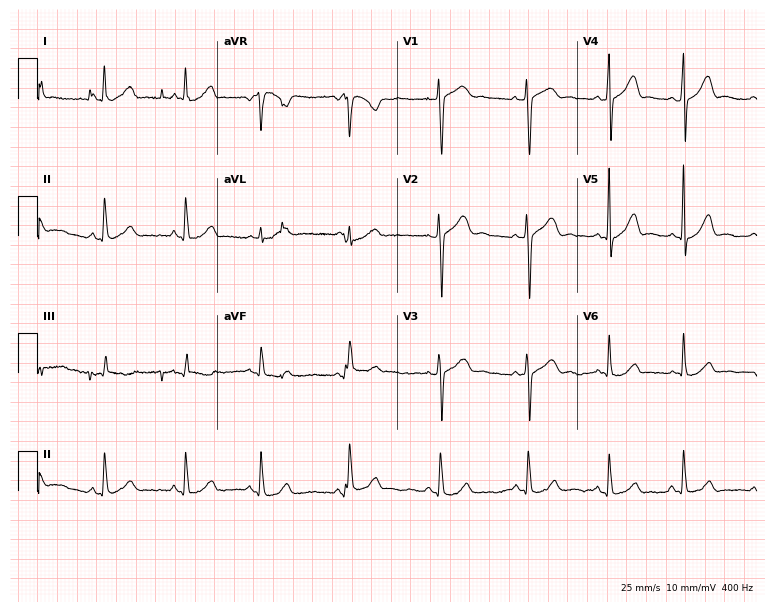
12-lead ECG from a woman, 21 years old. No first-degree AV block, right bundle branch block, left bundle branch block, sinus bradycardia, atrial fibrillation or sinus tachycardia recorded for this tracing. Only these six findings were labelled.